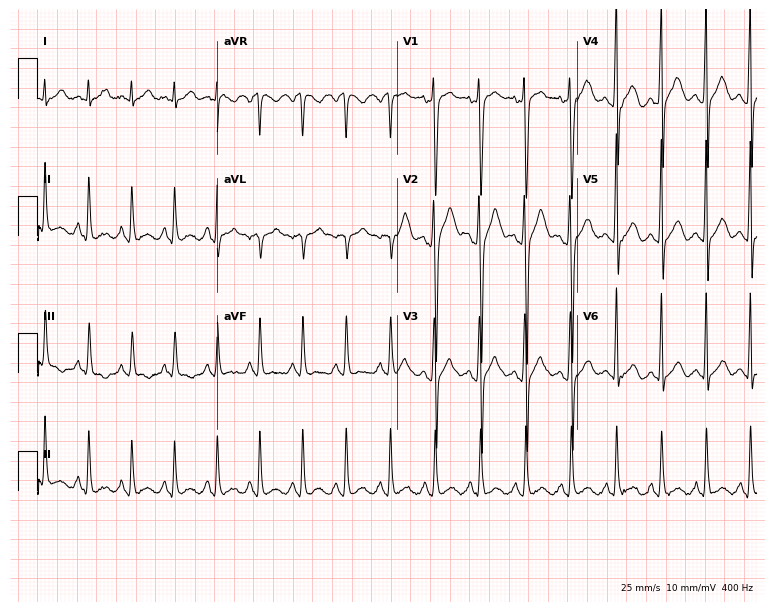
Resting 12-lead electrocardiogram. Patient: a 21-year-old male. The tracing shows sinus tachycardia (a sinus rate of 100 beats per minute or more).